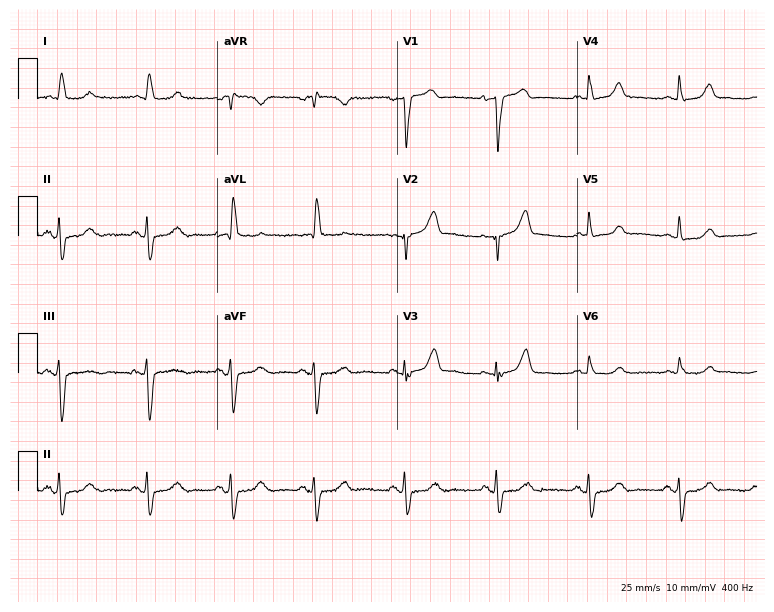
Electrocardiogram, a female patient, 80 years old. Of the six screened findings (first-degree AV block, right bundle branch block (RBBB), left bundle branch block (LBBB), sinus bradycardia, atrial fibrillation (AF), sinus tachycardia), none is recorded. Findings outside these six are not listed.